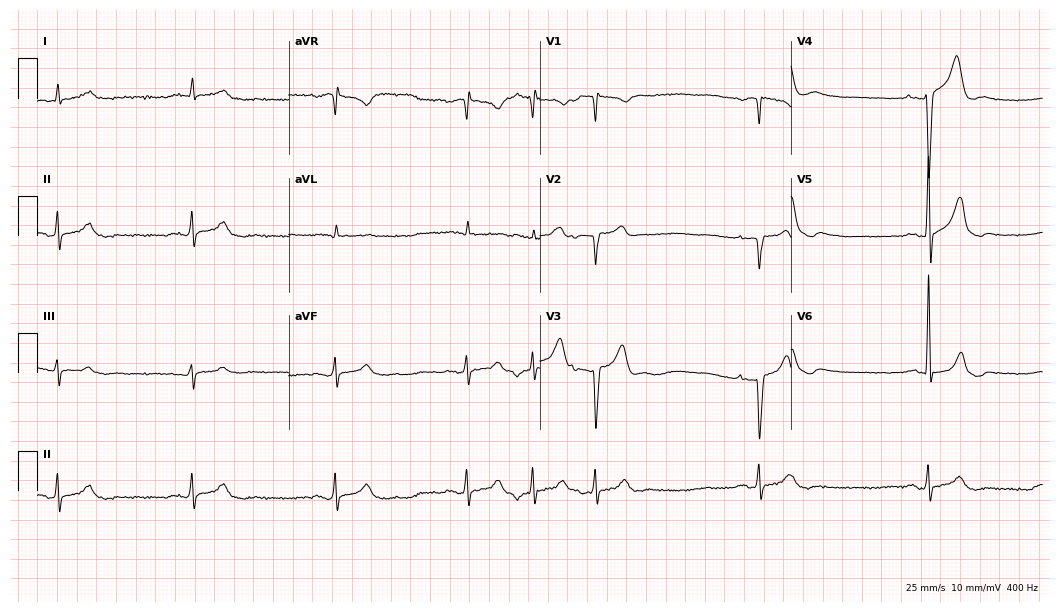
Standard 12-lead ECG recorded from an 85-year-old man (10.2-second recording at 400 Hz). The tracing shows sinus bradycardia (a sinus rate of 50 beats per minute or less), atrial fibrillation.